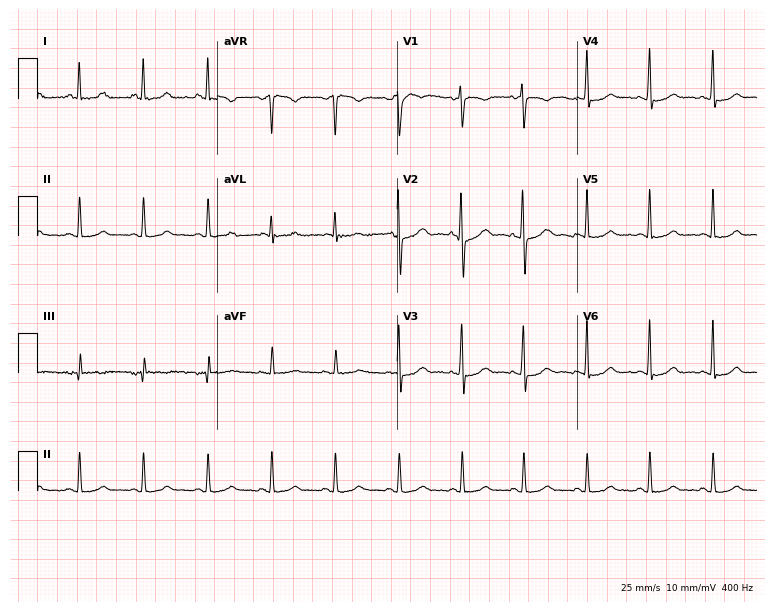
Standard 12-lead ECG recorded from a 35-year-old woman. Read as a normal ECG.